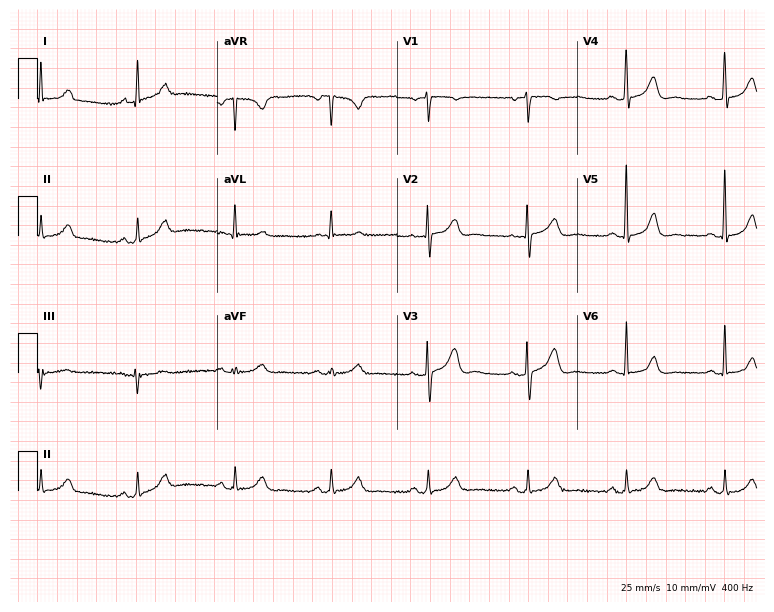
Resting 12-lead electrocardiogram (7.3-second recording at 400 Hz). Patient: a female, 54 years old. Read as a normal ECG.